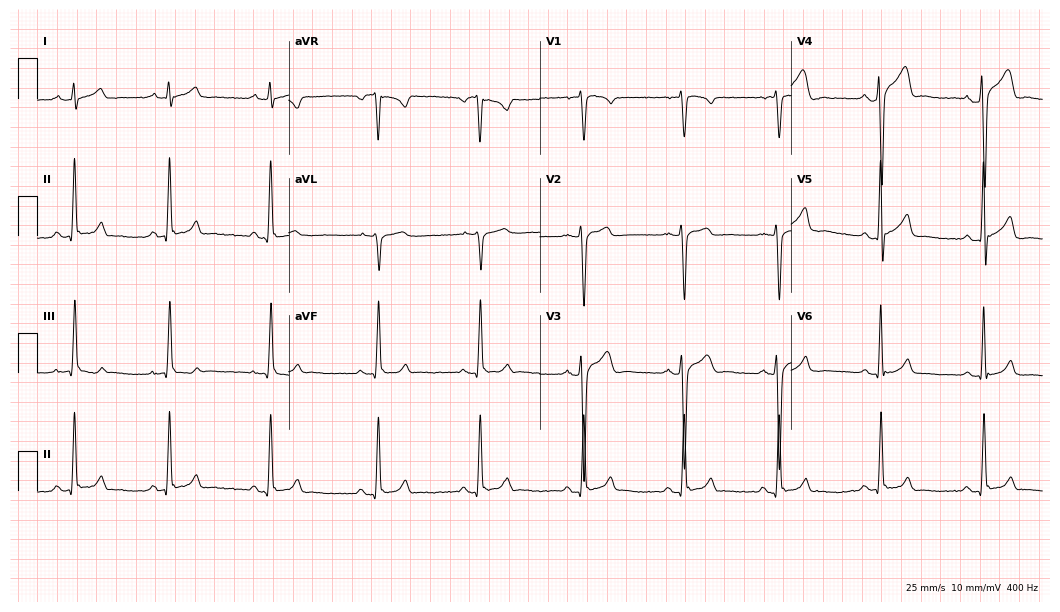
ECG — a 31-year-old man. Screened for six findings — first-degree AV block, right bundle branch block, left bundle branch block, sinus bradycardia, atrial fibrillation, sinus tachycardia — none is recorded.